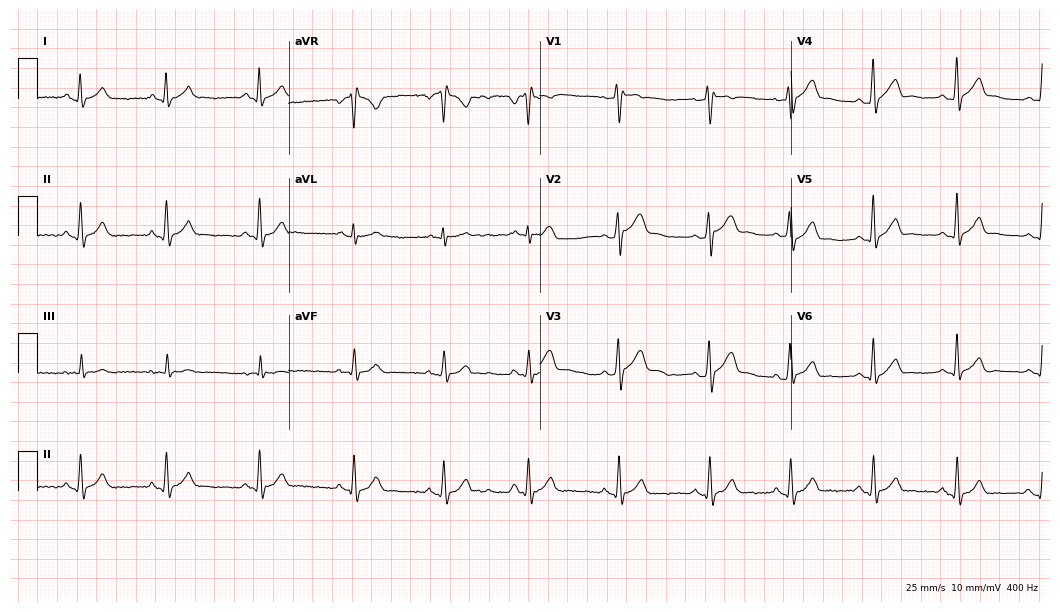
12-lead ECG from a 28-year-old male patient. Screened for six findings — first-degree AV block, right bundle branch block (RBBB), left bundle branch block (LBBB), sinus bradycardia, atrial fibrillation (AF), sinus tachycardia — none is recorded. Findings outside these six are not listed.